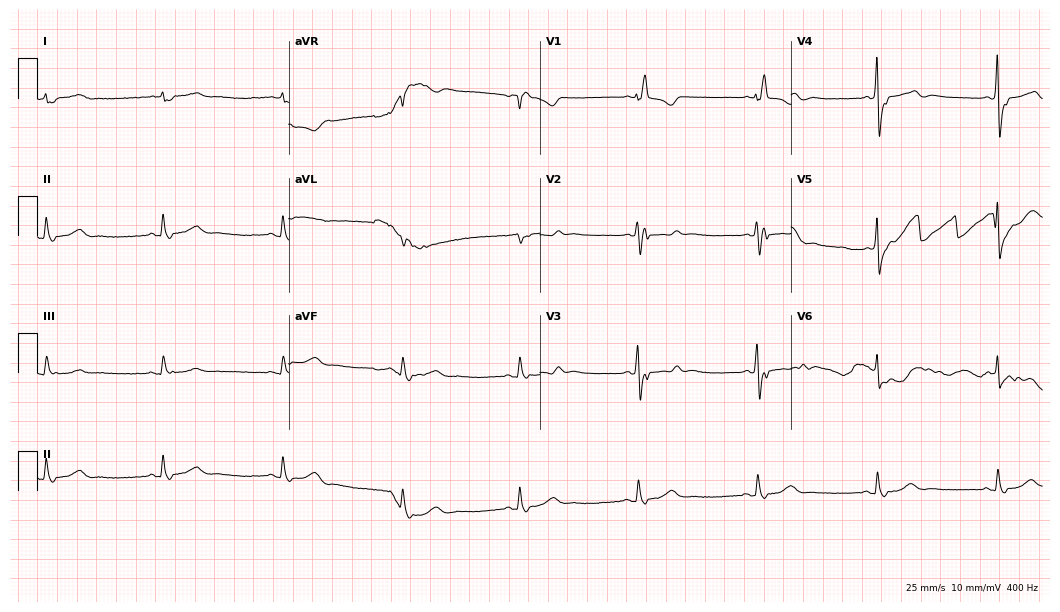
12-lead ECG from an 81-year-old male. Findings include right bundle branch block, sinus bradycardia (a sinus rate of 50 beats per minute or less).